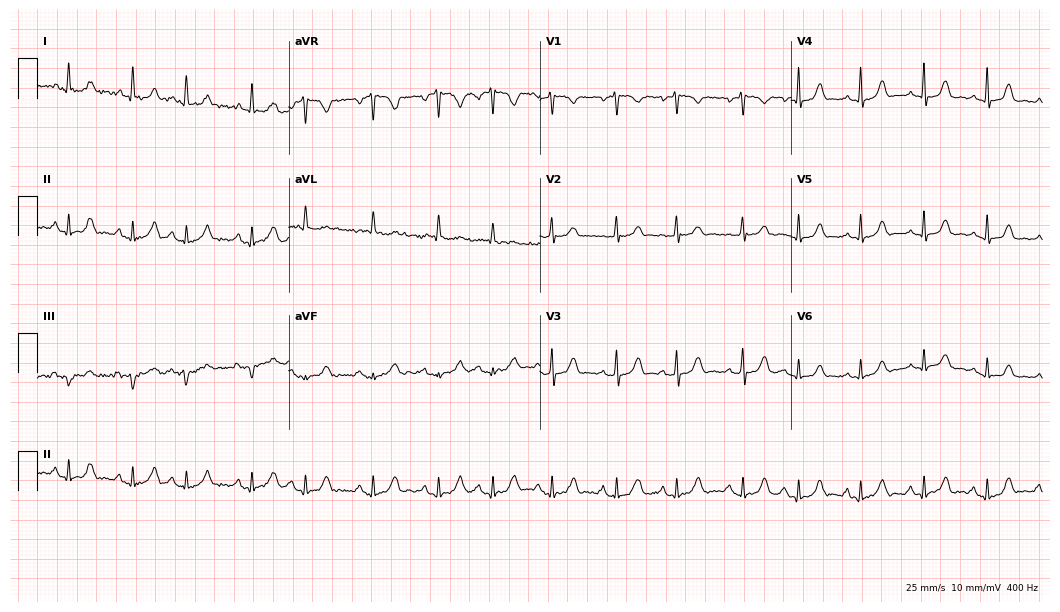
12-lead ECG (10.2-second recording at 400 Hz) from an 83-year-old female patient. Labelled as a normal ECG.